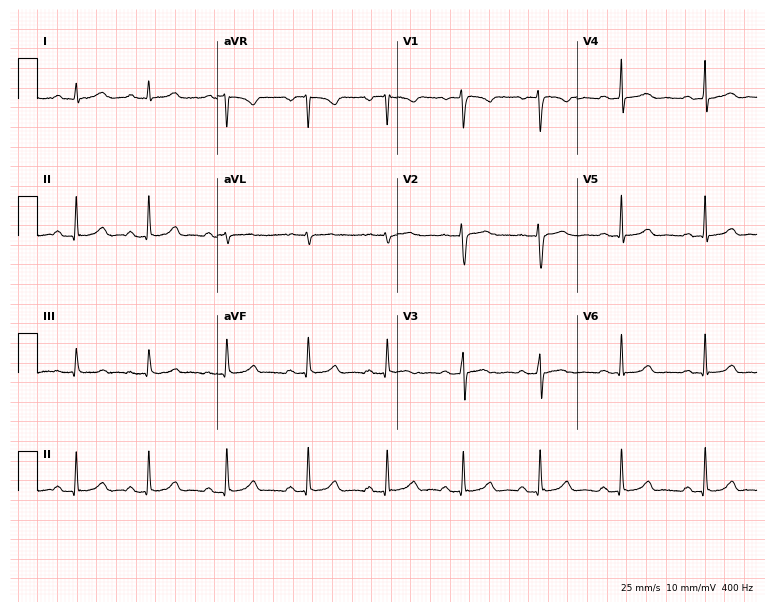
12-lead ECG (7.3-second recording at 400 Hz) from a female patient, 21 years old. Screened for six findings — first-degree AV block, right bundle branch block, left bundle branch block, sinus bradycardia, atrial fibrillation, sinus tachycardia — none is recorded.